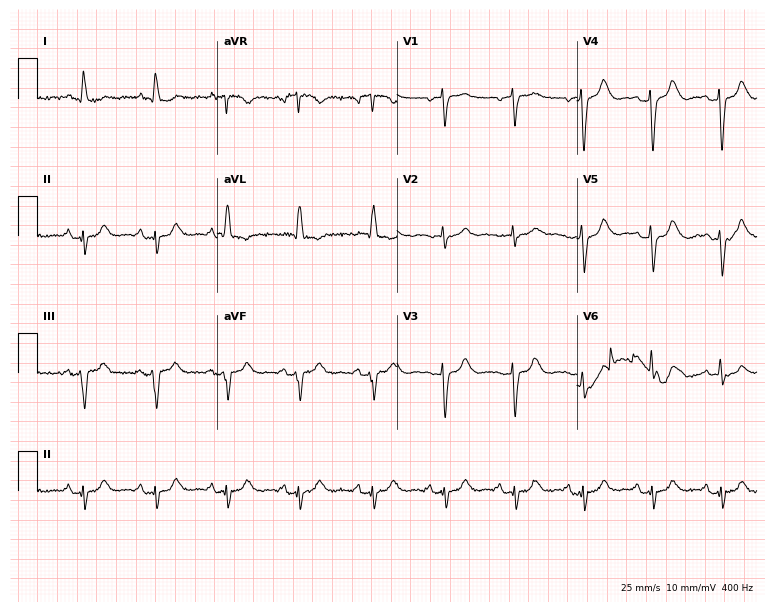
Electrocardiogram (7.3-second recording at 400 Hz), an 81-year-old female. Of the six screened findings (first-degree AV block, right bundle branch block, left bundle branch block, sinus bradycardia, atrial fibrillation, sinus tachycardia), none is recorded.